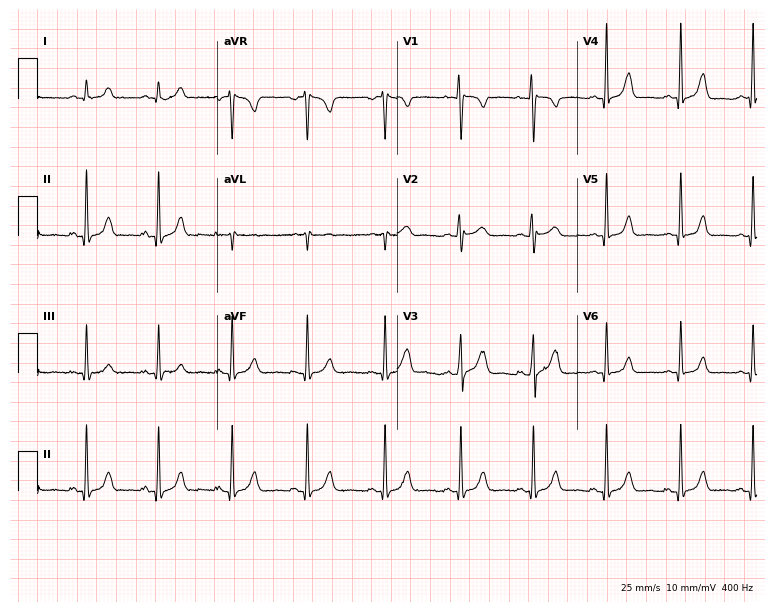
Electrocardiogram (7.3-second recording at 400 Hz), a 33-year-old female patient. Overall reading on record: normal ECG.